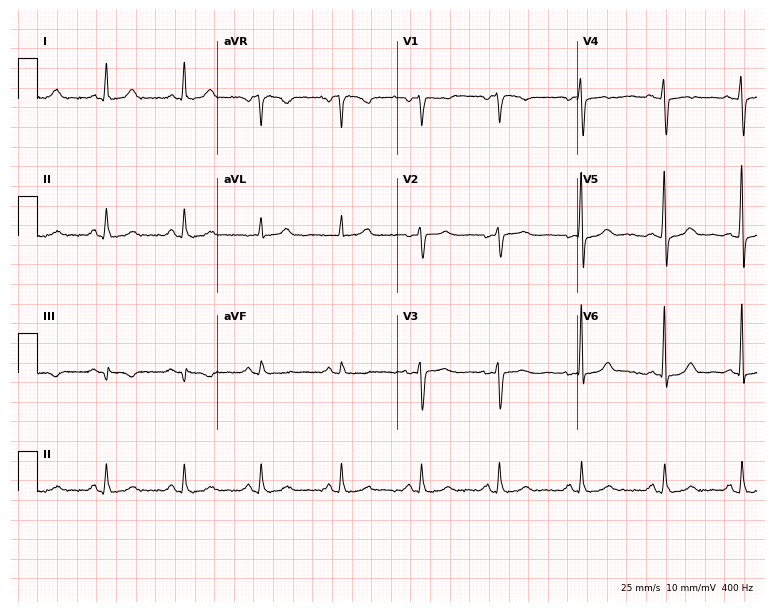
Resting 12-lead electrocardiogram. Patient: a woman, 45 years old. Read as a normal ECG.